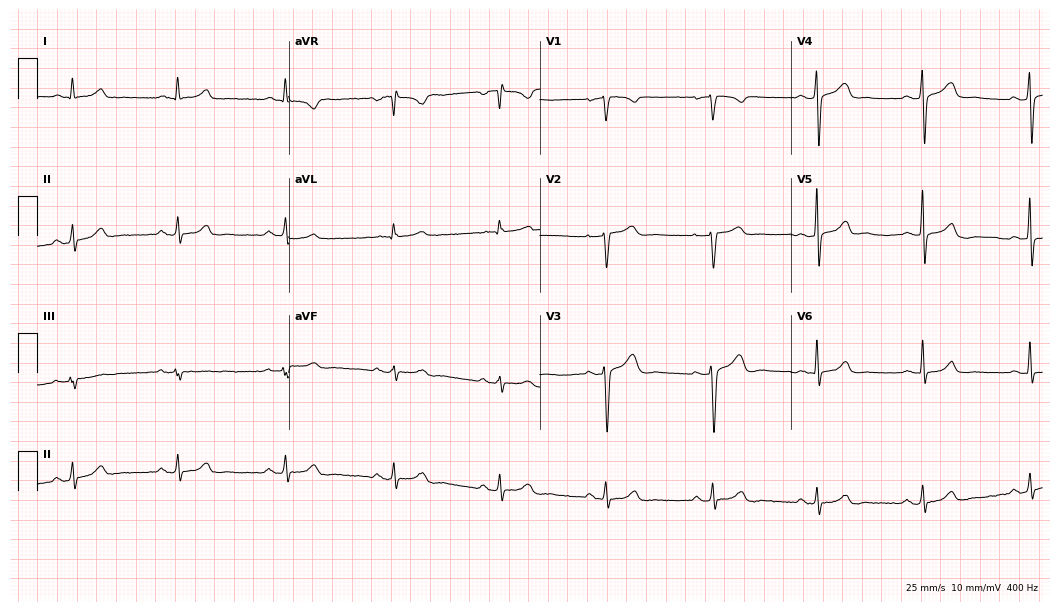
Electrocardiogram (10.2-second recording at 400 Hz), a female, 42 years old. Overall reading on record: normal ECG.